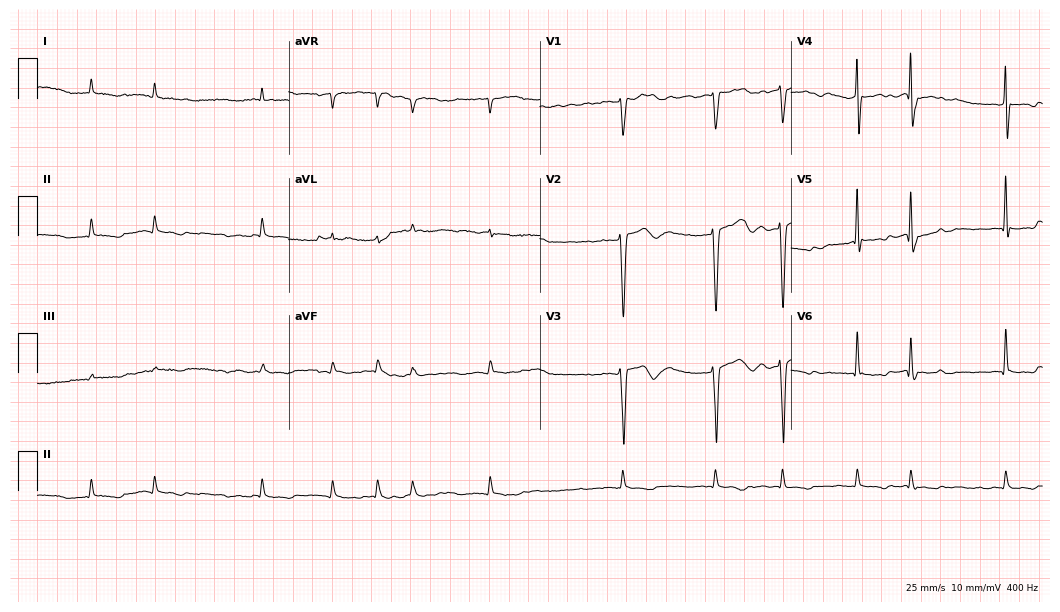
Resting 12-lead electrocardiogram. Patient: a 73-year-old male. None of these six findings is recorded: first-degree AV block, right bundle branch block (RBBB), left bundle branch block (LBBB), sinus bradycardia, atrial fibrillation (AF), sinus tachycardia. Other findings, if any, are not listed.